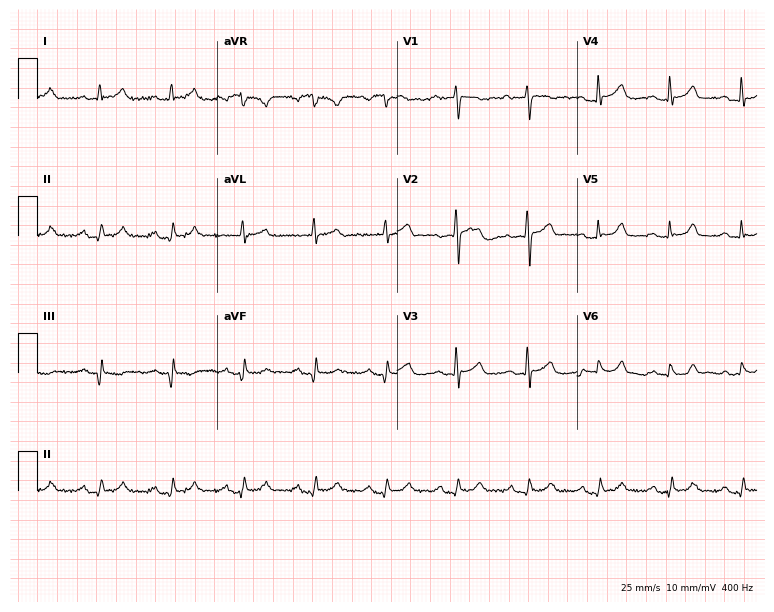
ECG — a 62-year-old man. Screened for six findings — first-degree AV block, right bundle branch block, left bundle branch block, sinus bradycardia, atrial fibrillation, sinus tachycardia — none is recorded.